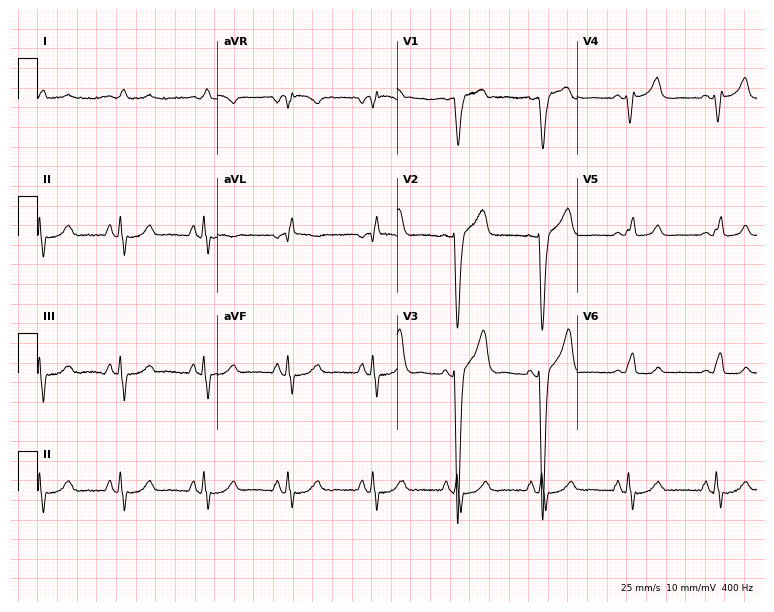
Resting 12-lead electrocardiogram (7.3-second recording at 400 Hz). Patient: a 65-year-old male. None of these six findings is recorded: first-degree AV block, right bundle branch block, left bundle branch block, sinus bradycardia, atrial fibrillation, sinus tachycardia.